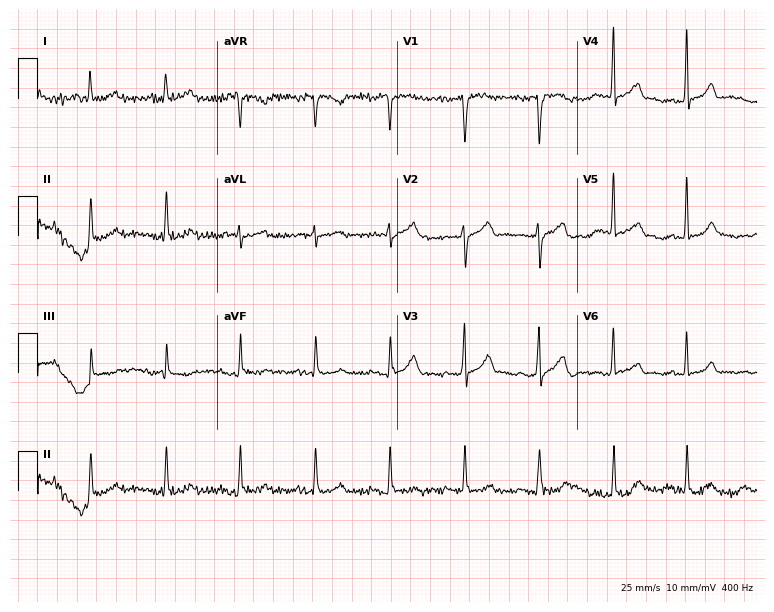
12-lead ECG from a 55-year-old male. Labelled as a normal ECG.